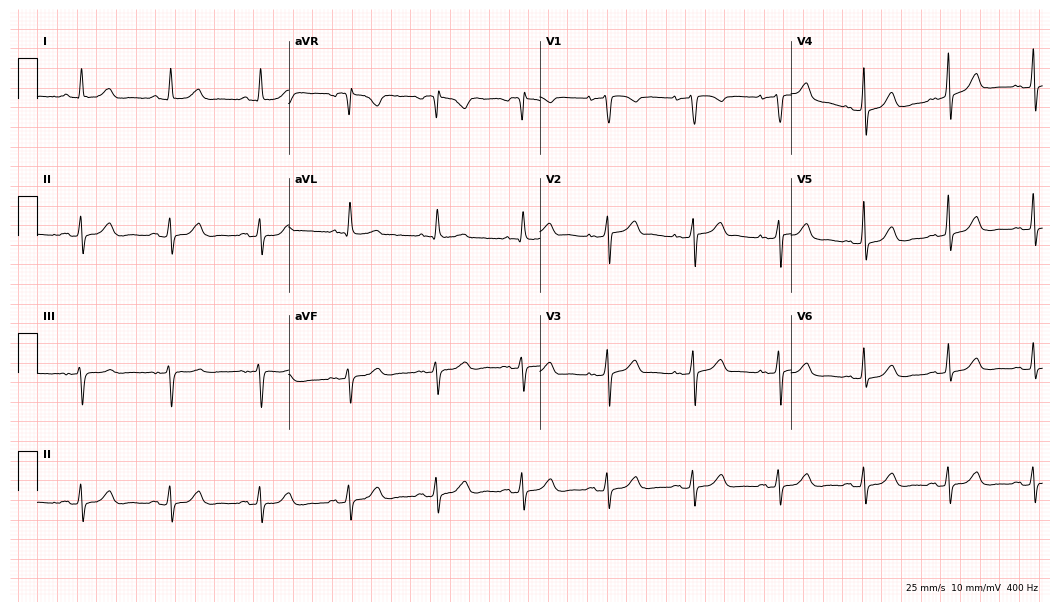
12-lead ECG from a woman, 83 years old. Recorded interpretation: within normal limits.